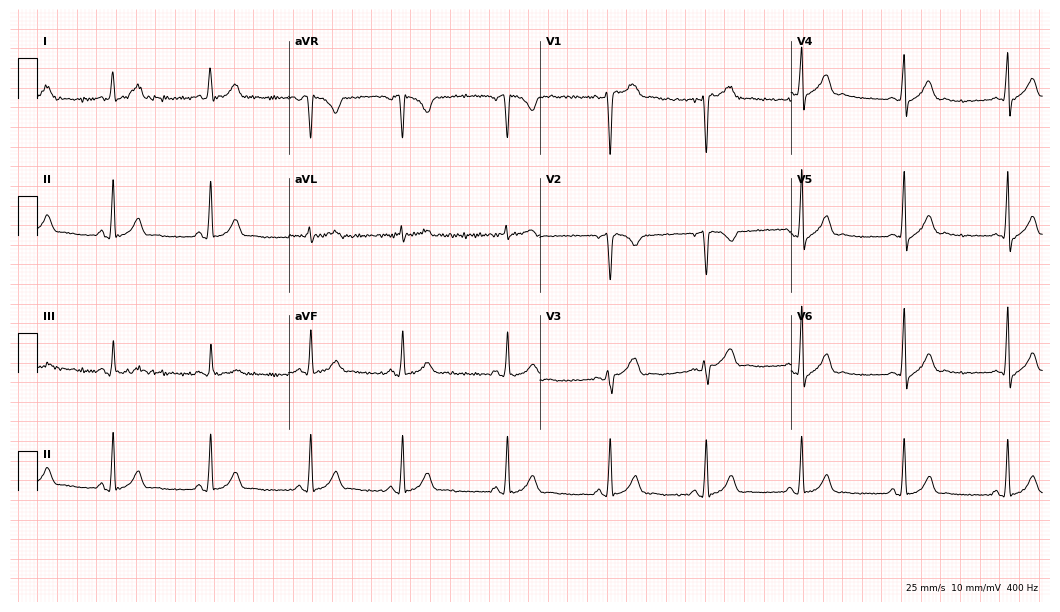
12-lead ECG from a man, 29 years old (10.2-second recording at 400 Hz). Recorded interpretation: within normal limits.